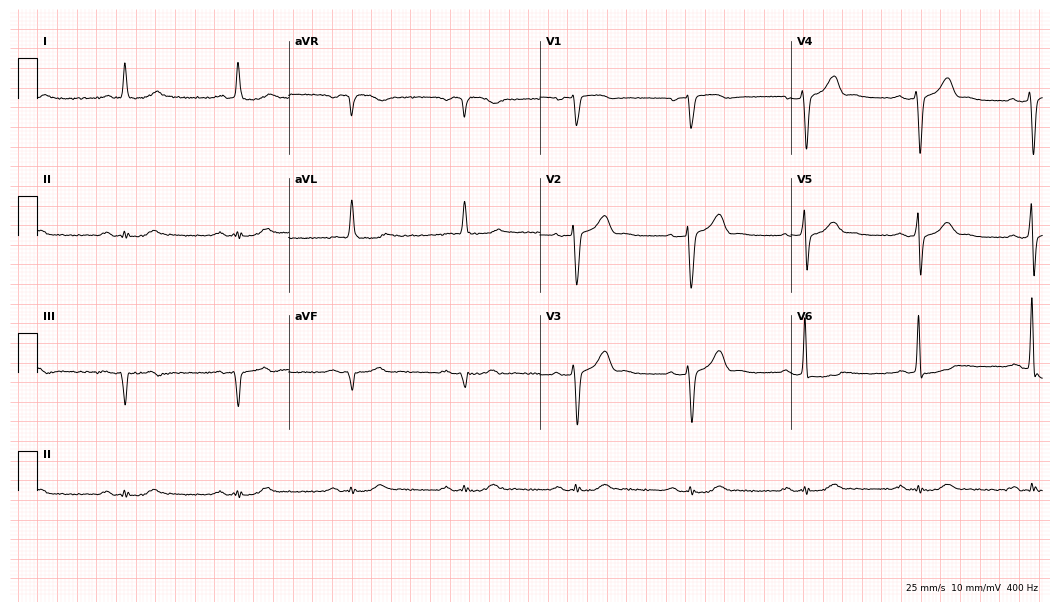
Resting 12-lead electrocardiogram (10.2-second recording at 400 Hz). Patient: a 77-year-old male. None of these six findings is recorded: first-degree AV block, right bundle branch block, left bundle branch block, sinus bradycardia, atrial fibrillation, sinus tachycardia.